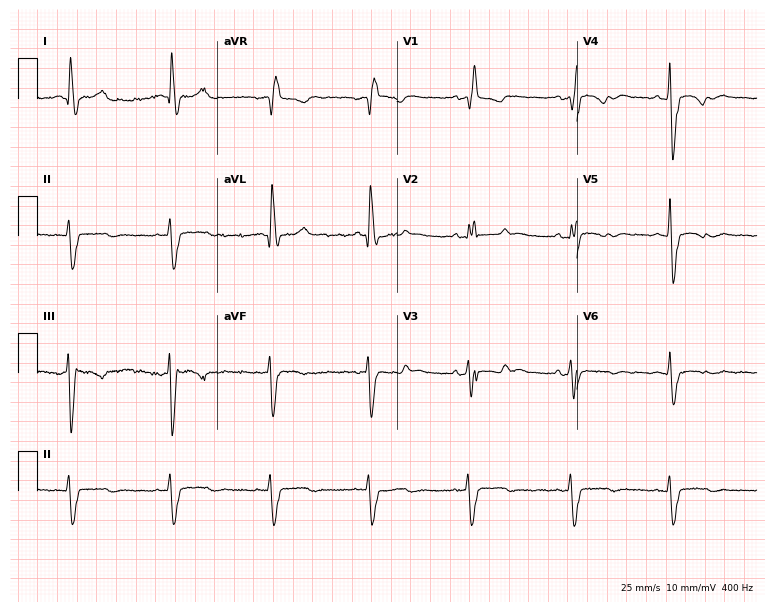
Resting 12-lead electrocardiogram (7.3-second recording at 400 Hz). Patient: a female, 60 years old. The tracing shows right bundle branch block (RBBB).